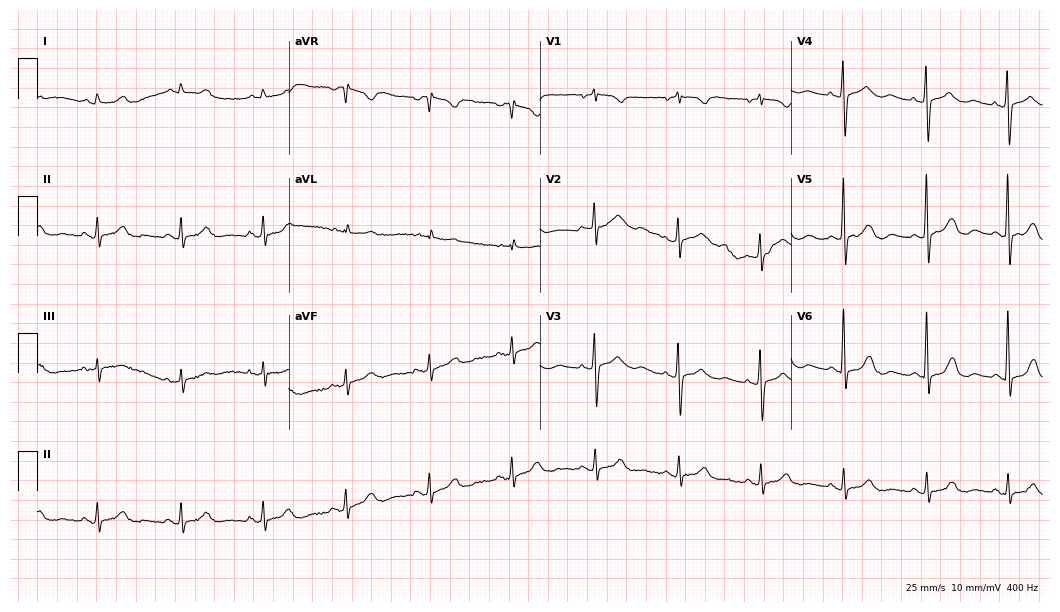
12-lead ECG from a 74-year-old female. Recorded interpretation: within normal limits.